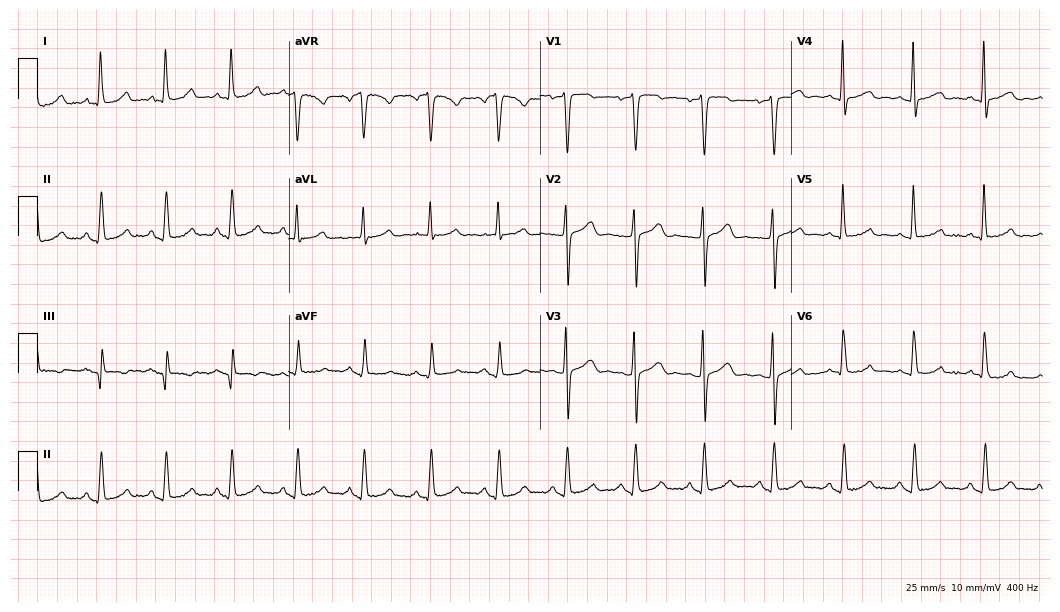
Standard 12-lead ECG recorded from a female, 64 years old (10.2-second recording at 400 Hz). Read as a normal ECG.